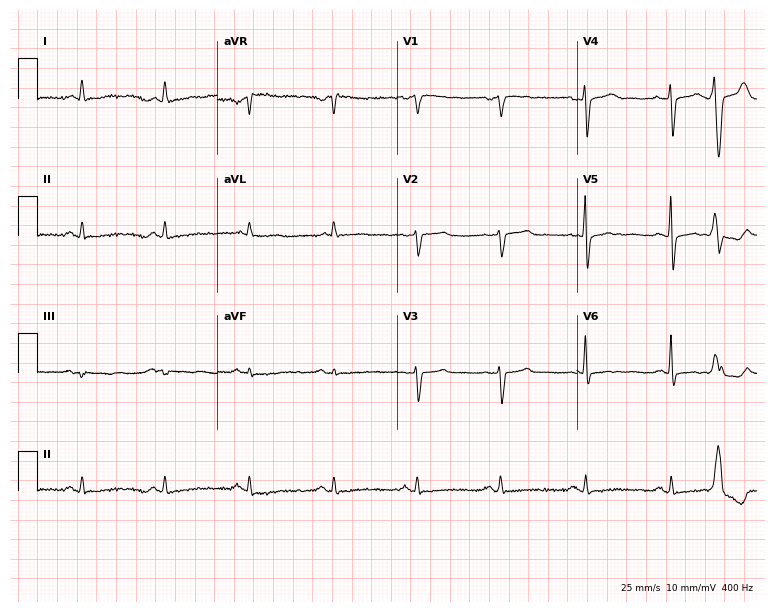
ECG (7.3-second recording at 400 Hz) — a woman, 65 years old. Screened for six findings — first-degree AV block, right bundle branch block, left bundle branch block, sinus bradycardia, atrial fibrillation, sinus tachycardia — none is recorded.